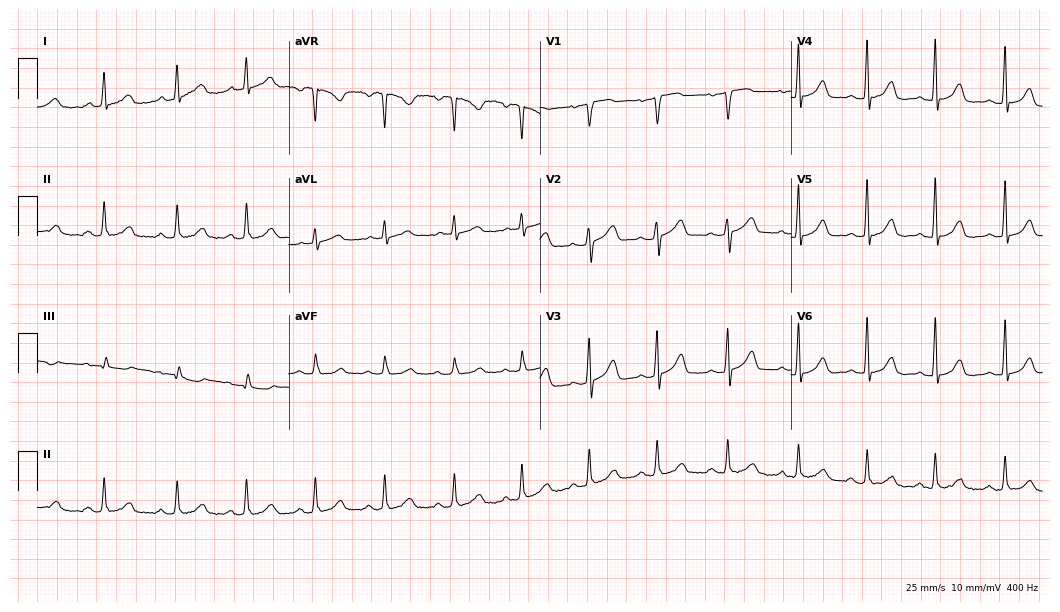
12-lead ECG from a female, 57 years old (10.2-second recording at 400 Hz). Recorded interpretation: within normal limits.